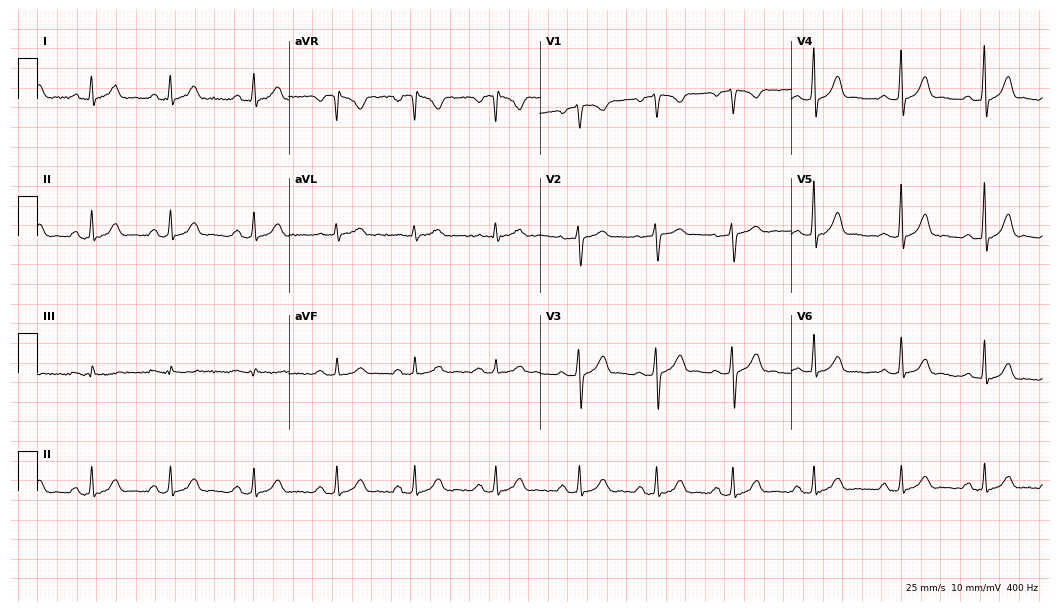
ECG (10.2-second recording at 400 Hz) — a female patient, 39 years old. Labelled as a normal ECG.